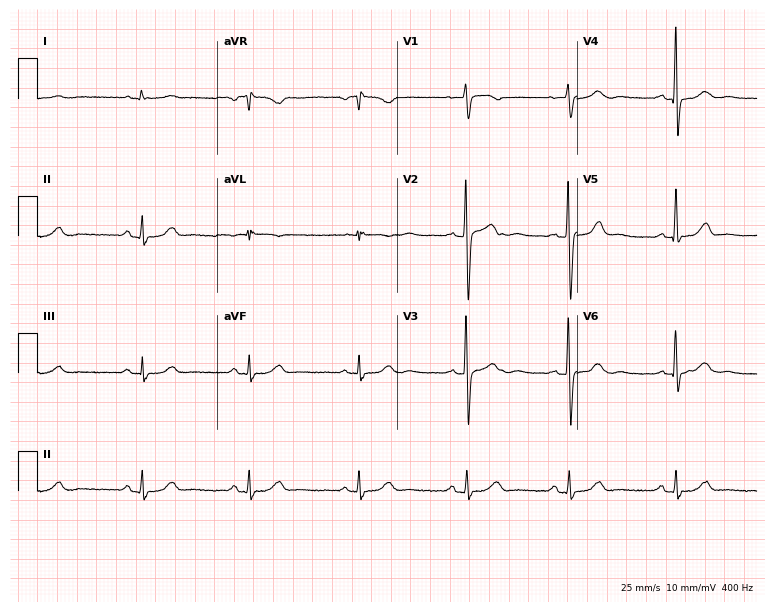
ECG (7.3-second recording at 400 Hz) — a female patient, 68 years old. Labelled as a normal ECG.